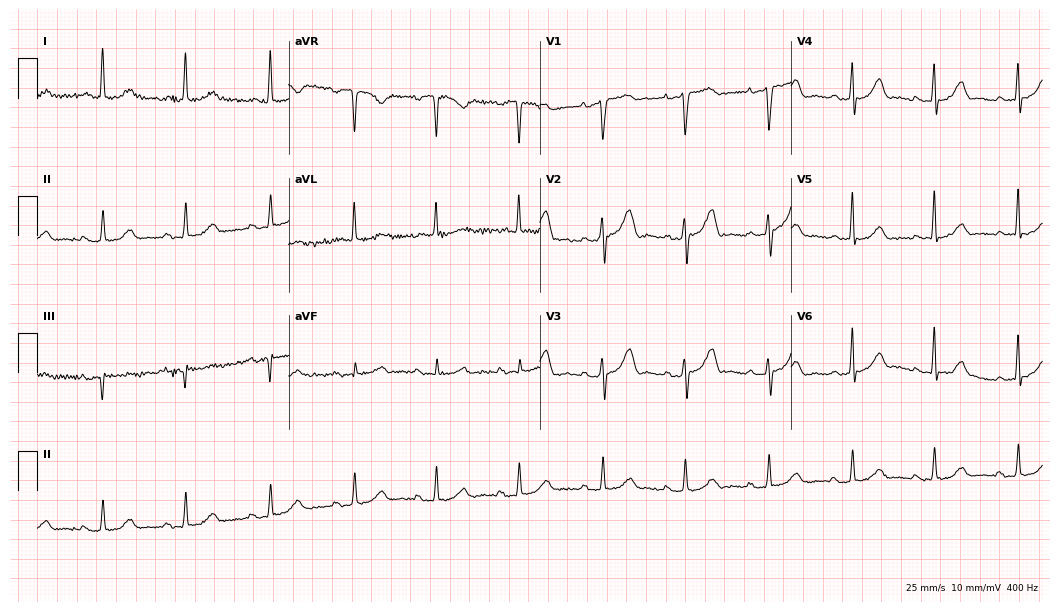
Standard 12-lead ECG recorded from a 79-year-old female (10.2-second recording at 400 Hz). Read as a normal ECG.